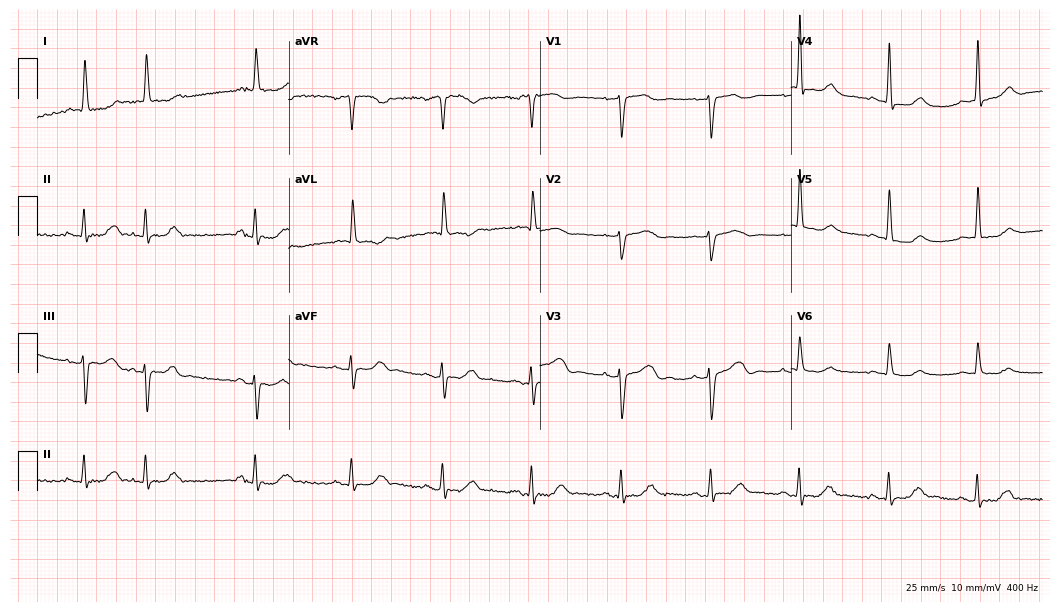
12-lead ECG from a 71-year-old female patient. Screened for six findings — first-degree AV block, right bundle branch block, left bundle branch block, sinus bradycardia, atrial fibrillation, sinus tachycardia — none is recorded.